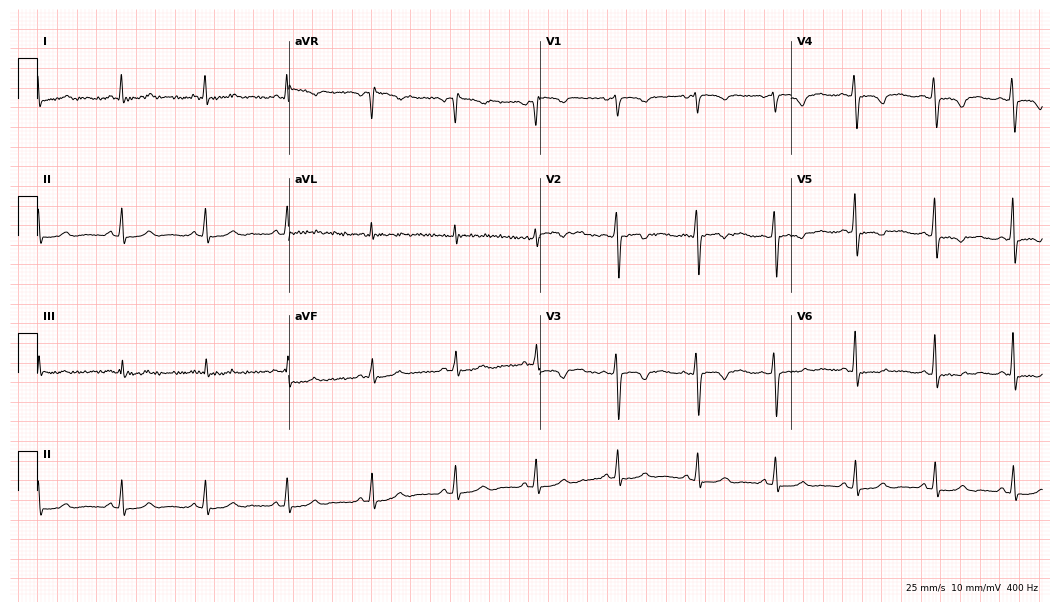
Electrocardiogram, a 46-year-old woman. Of the six screened findings (first-degree AV block, right bundle branch block, left bundle branch block, sinus bradycardia, atrial fibrillation, sinus tachycardia), none is recorded. Only these six findings were labelled.